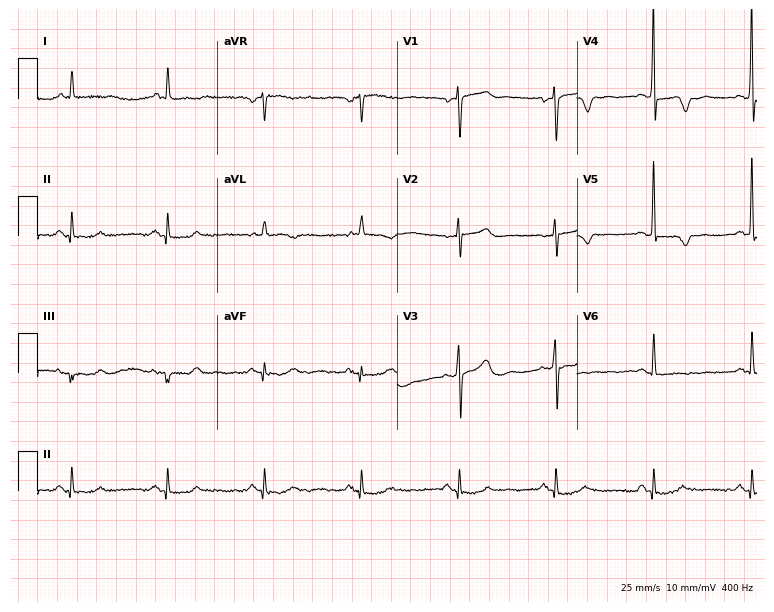
12-lead ECG from a woman, 82 years old. Screened for six findings — first-degree AV block, right bundle branch block (RBBB), left bundle branch block (LBBB), sinus bradycardia, atrial fibrillation (AF), sinus tachycardia — none is recorded. Other findings, if any, are not listed.